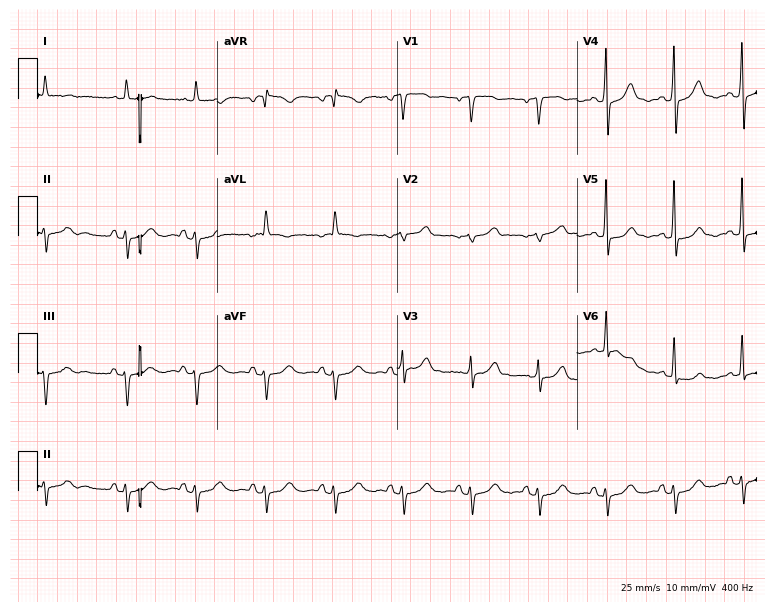
Electrocardiogram (7.3-second recording at 400 Hz), a 72-year-old female patient. Of the six screened findings (first-degree AV block, right bundle branch block, left bundle branch block, sinus bradycardia, atrial fibrillation, sinus tachycardia), none is recorded.